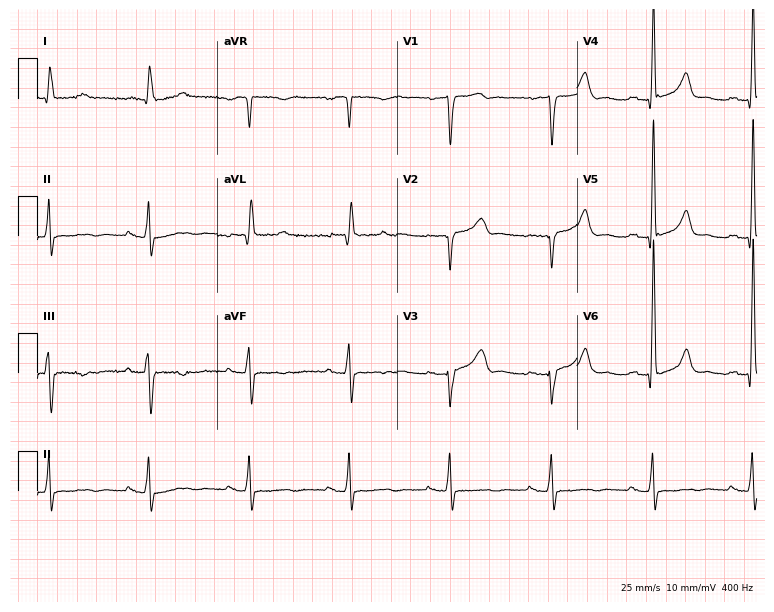
ECG (7.3-second recording at 400 Hz) — a 71-year-old male. Screened for six findings — first-degree AV block, right bundle branch block, left bundle branch block, sinus bradycardia, atrial fibrillation, sinus tachycardia — none is recorded.